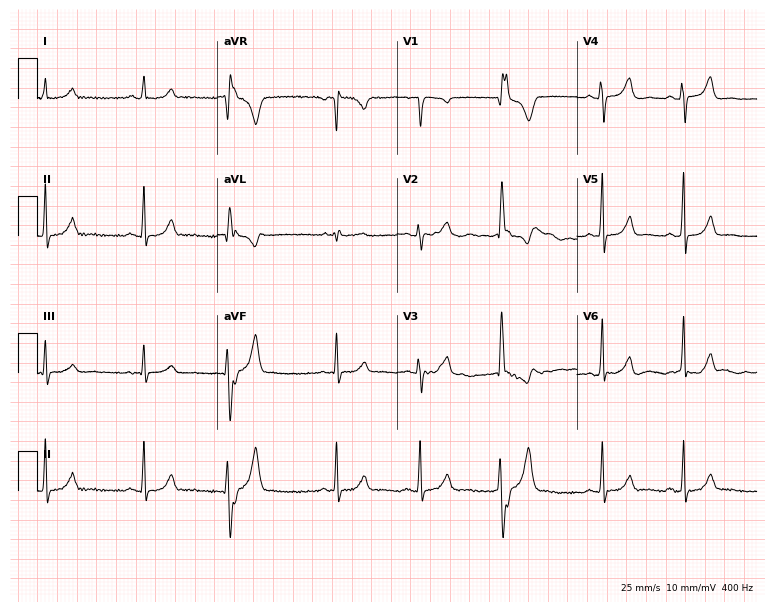
12-lead ECG from a 47-year-old woman (7.3-second recording at 400 Hz). No first-degree AV block, right bundle branch block (RBBB), left bundle branch block (LBBB), sinus bradycardia, atrial fibrillation (AF) or sinus tachycardia recorded for this tracing.